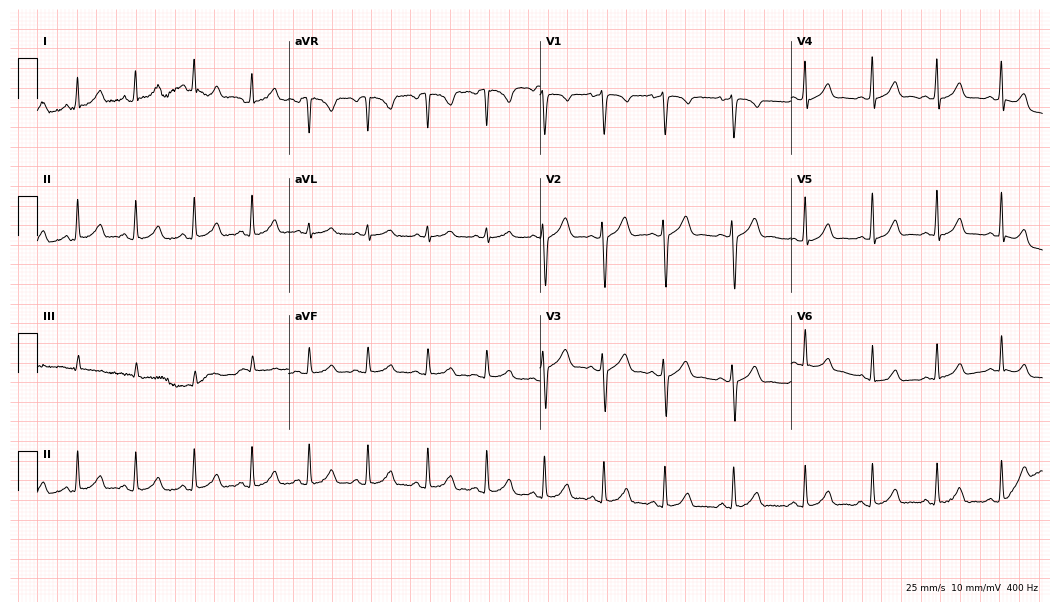
Electrocardiogram (10.2-second recording at 400 Hz), a female patient, 17 years old. Overall reading on record: normal ECG.